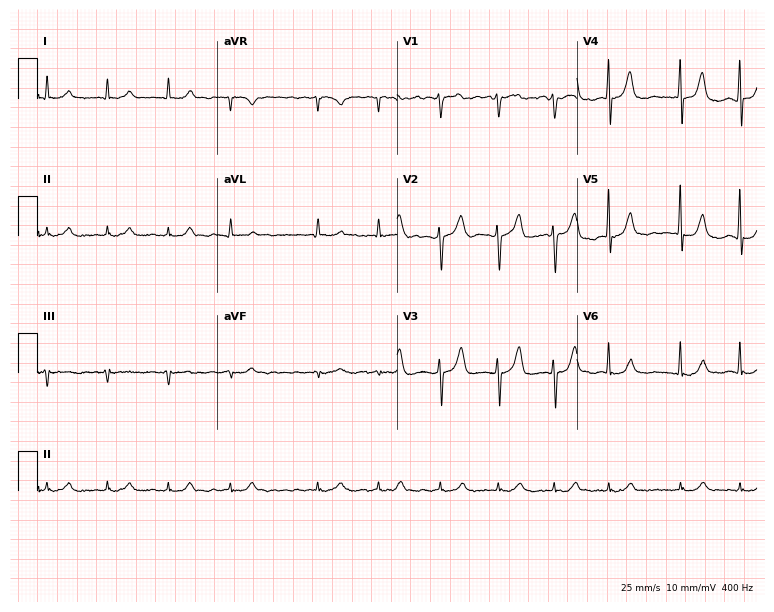
12-lead ECG (7.3-second recording at 400 Hz) from a 62-year-old man. Findings include atrial fibrillation.